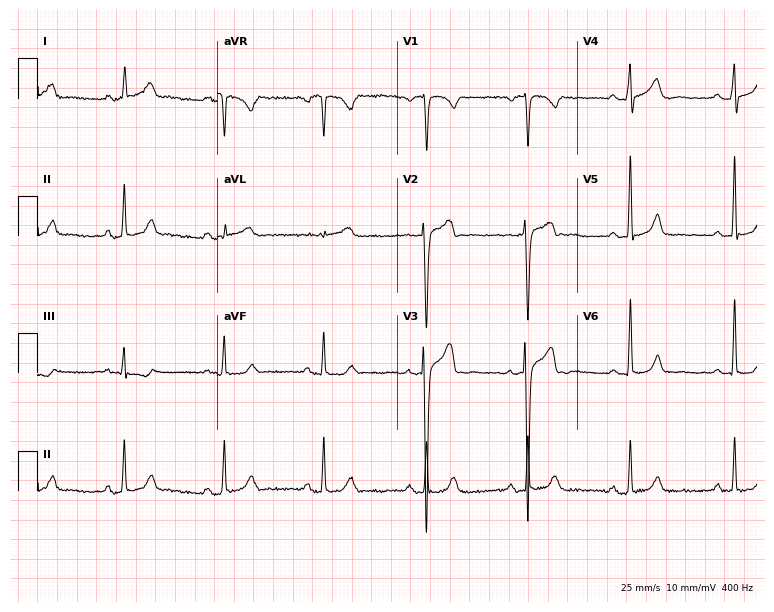
Resting 12-lead electrocardiogram. Patient: a 53-year-old man. Read as a normal ECG.